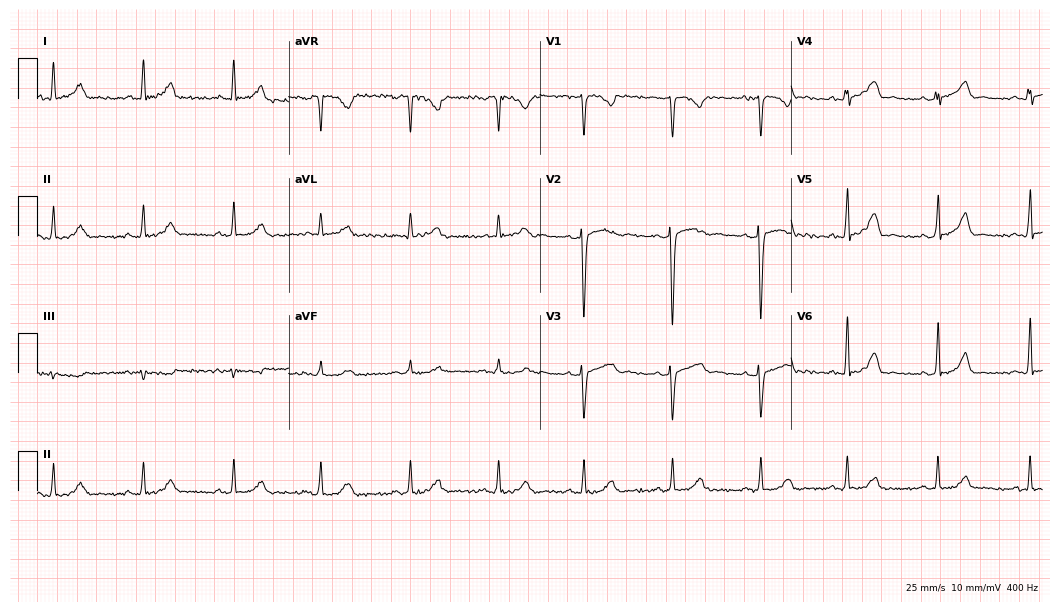
Electrocardiogram, a 31-year-old female. Overall reading on record: normal ECG.